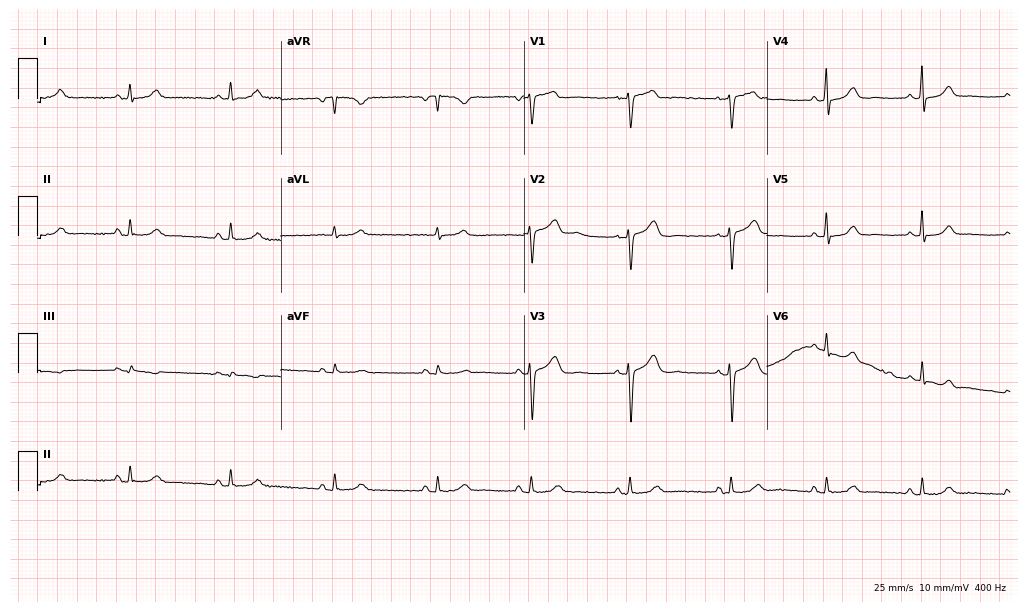
Electrocardiogram, a 51-year-old woman. Of the six screened findings (first-degree AV block, right bundle branch block (RBBB), left bundle branch block (LBBB), sinus bradycardia, atrial fibrillation (AF), sinus tachycardia), none is recorded.